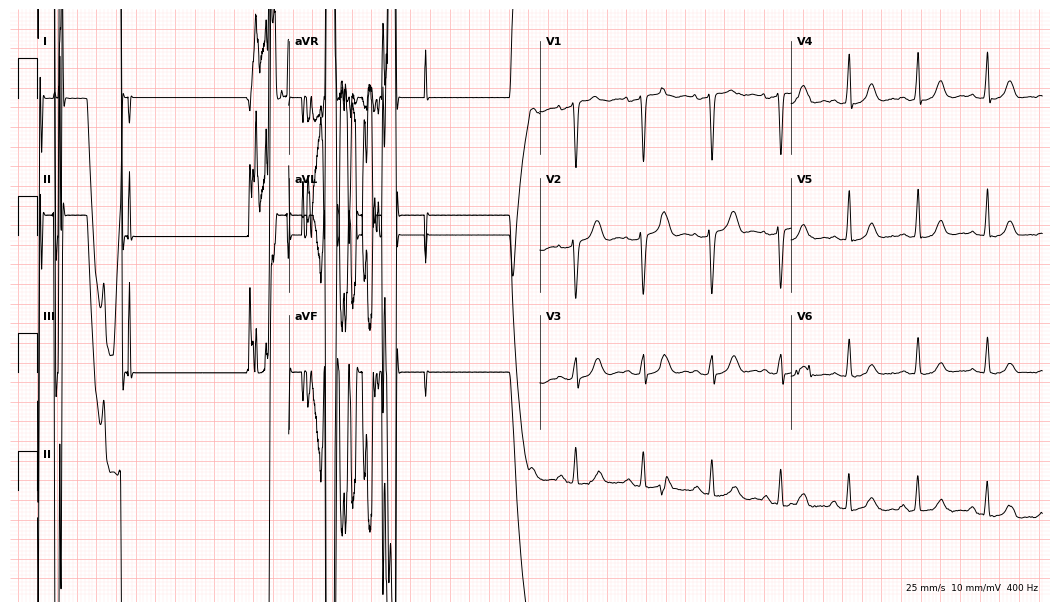
12-lead ECG from a female, 50 years old. No first-degree AV block, right bundle branch block, left bundle branch block, sinus bradycardia, atrial fibrillation or sinus tachycardia recorded for this tracing. Findings outside these six are not listed.